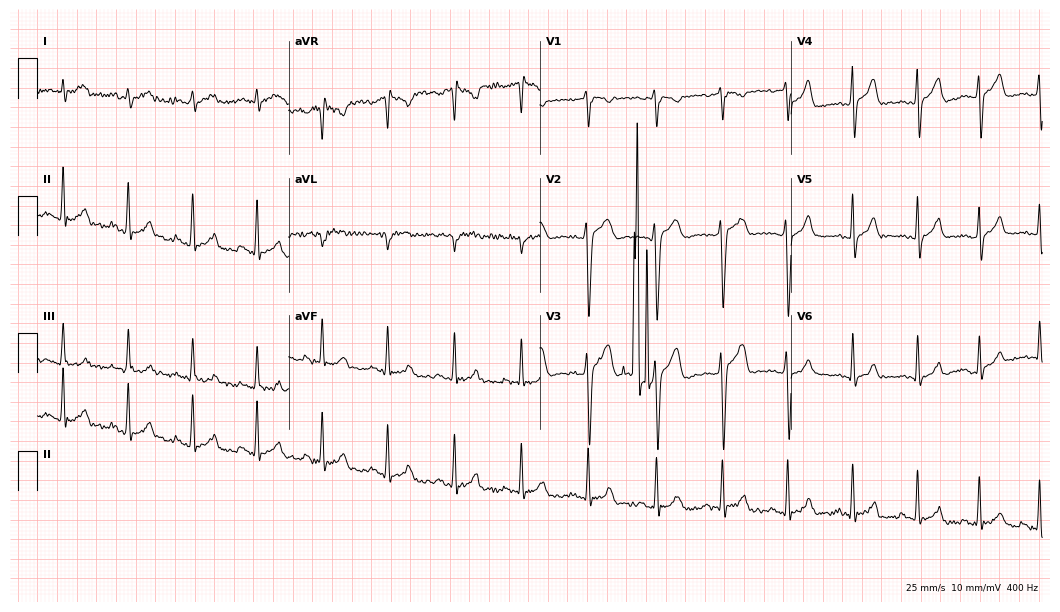
Electrocardiogram, a 27-year-old man. Of the six screened findings (first-degree AV block, right bundle branch block, left bundle branch block, sinus bradycardia, atrial fibrillation, sinus tachycardia), none is recorded. Findings outside these six are not listed.